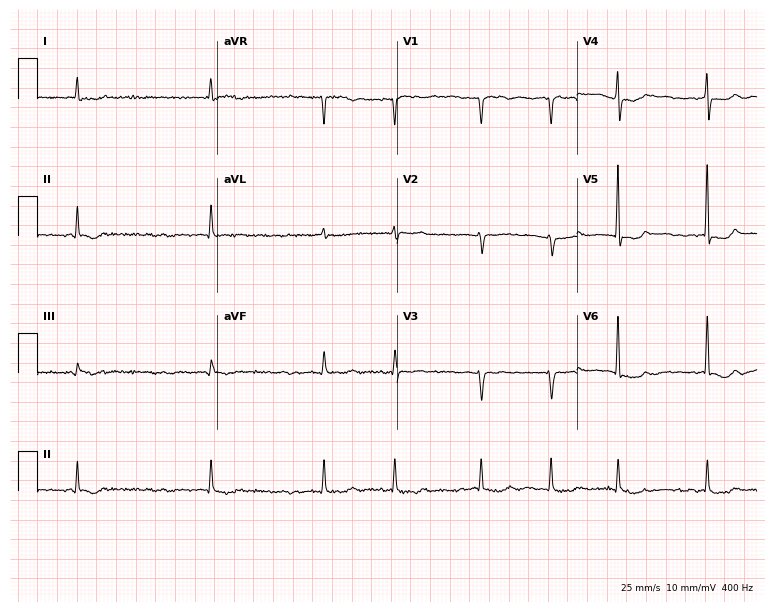
12-lead ECG from a female patient, 71 years old. Shows atrial fibrillation.